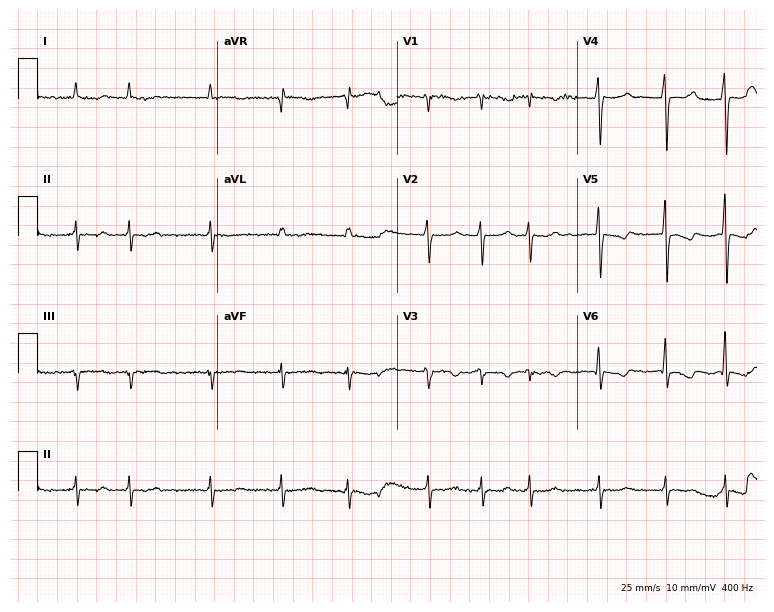
Standard 12-lead ECG recorded from a male, 80 years old. None of these six findings is recorded: first-degree AV block, right bundle branch block, left bundle branch block, sinus bradycardia, atrial fibrillation, sinus tachycardia.